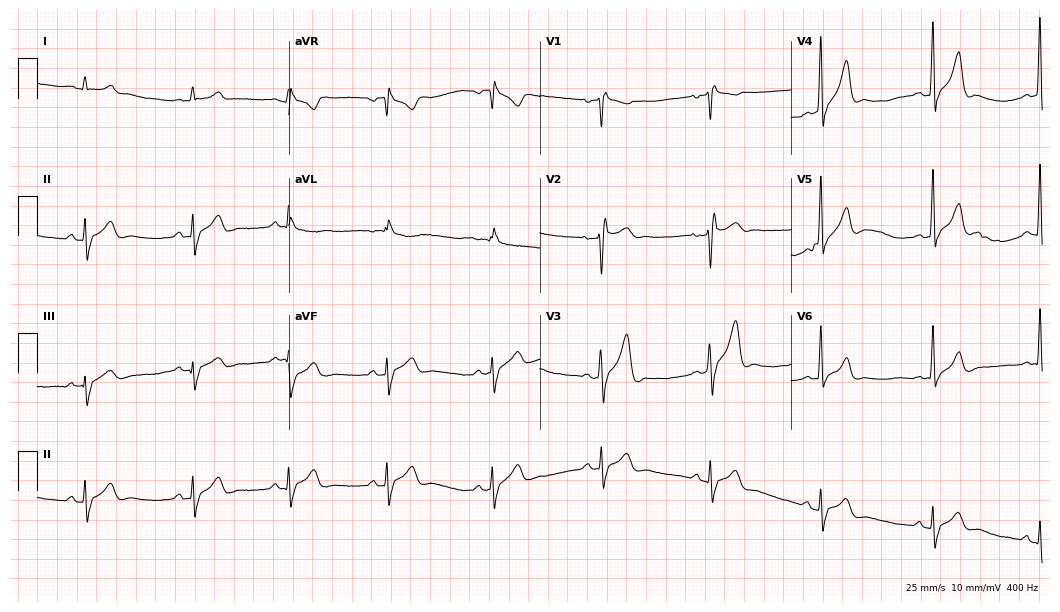
ECG — a man, 37 years old. Screened for six findings — first-degree AV block, right bundle branch block, left bundle branch block, sinus bradycardia, atrial fibrillation, sinus tachycardia — none is recorded.